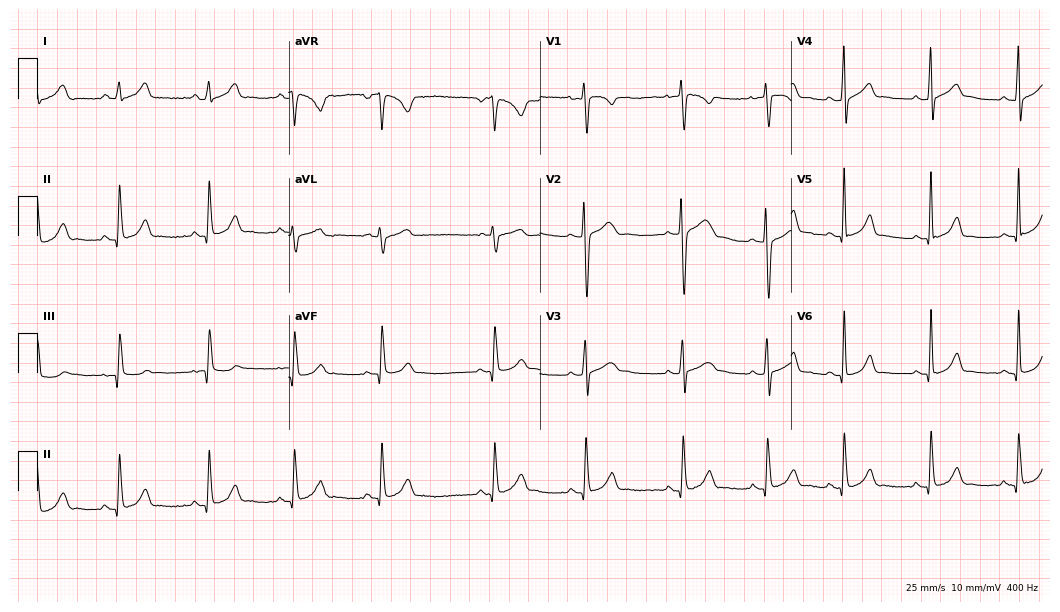
Electrocardiogram, a woman, 24 years old. Overall reading on record: normal ECG.